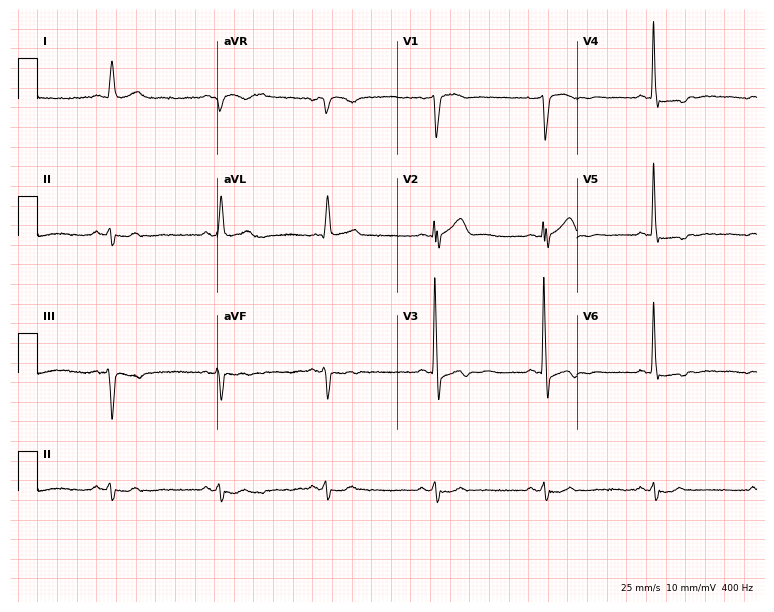
Resting 12-lead electrocardiogram. Patient: a man, 81 years old. None of these six findings is recorded: first-degree AV block, right bundle branch block (RBBB), left bundle branch block (LBBB), sinus bradycardia, atrial fibrillation (AF), sinus tachycardia. Only these six findings were labelled.